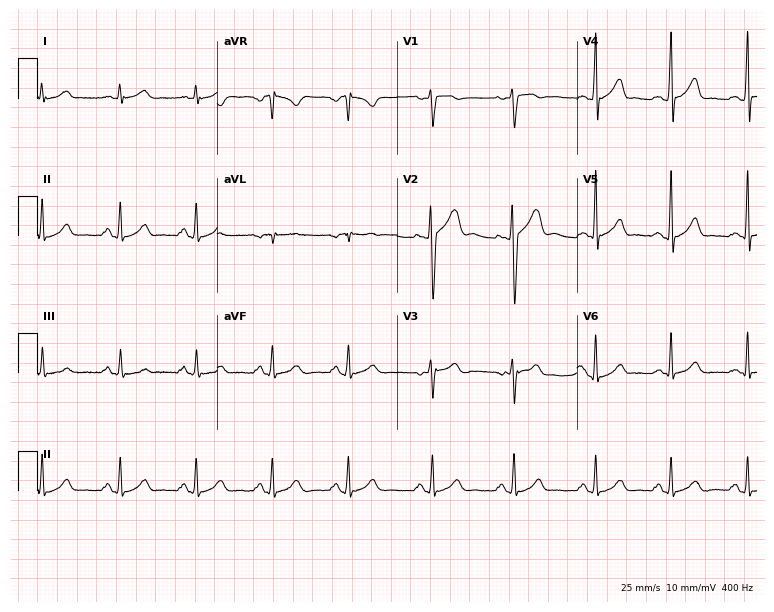
Resting 12-lead electrocardiogram. Patient: a male, 22 years old. Read as a normal ECG.